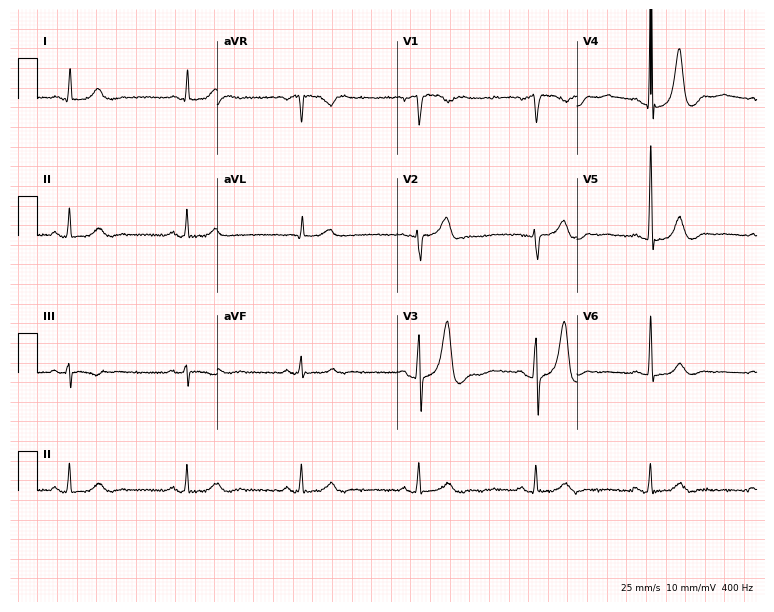
ECG — a 62-year-old male. Labelled as a normal ECG.